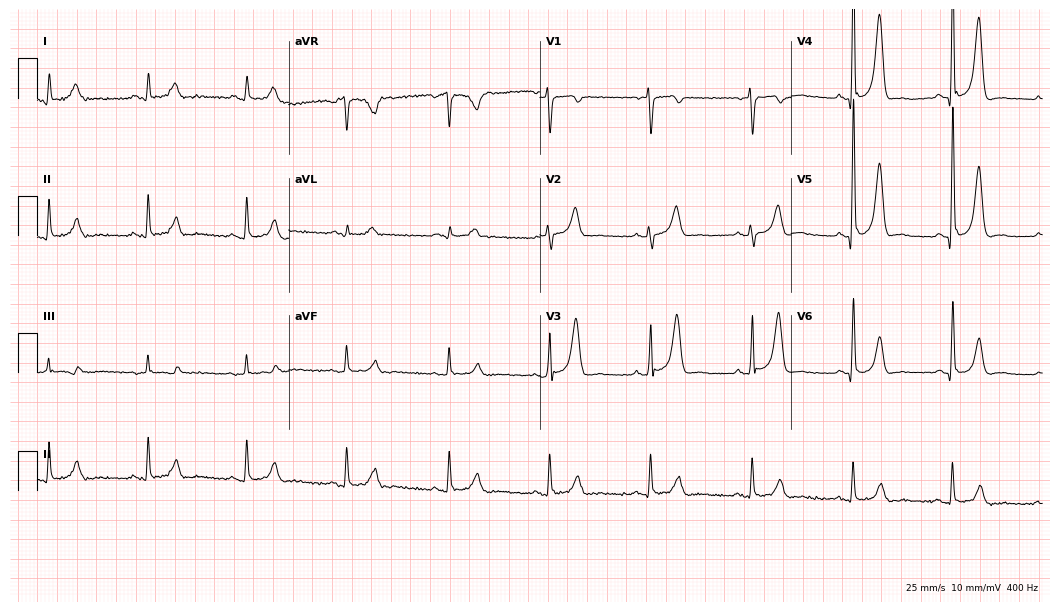
12-lead ECG from a male, 80 years old. No first-degree AV block, right bundle branch block, left bundle branch block, sinus bradycardia, atrial fibrillation or sinus tachycardia recorded for this tracing.